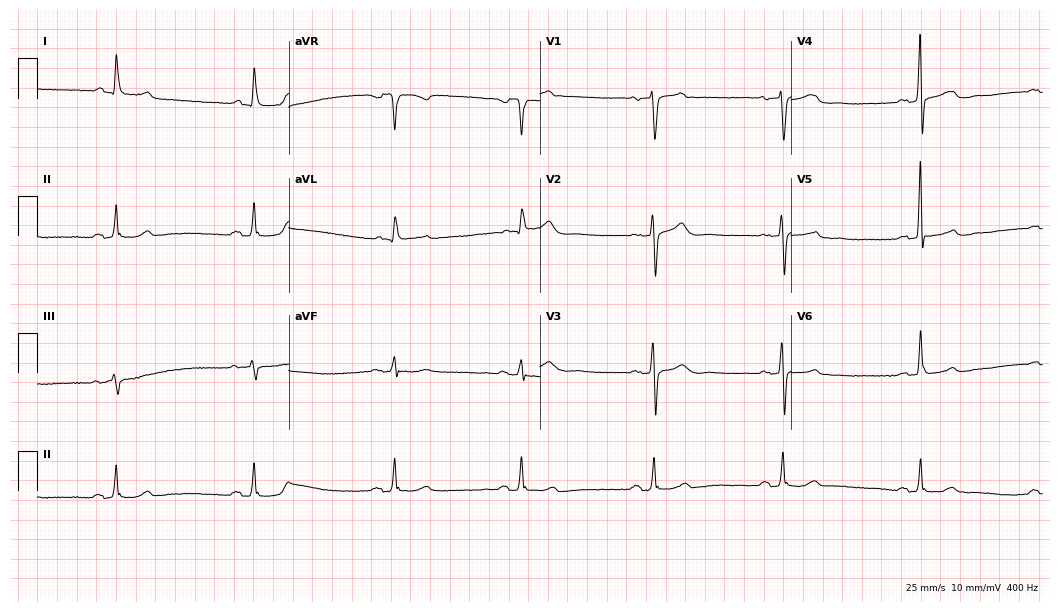
Electrocardiogram, a woman, 62 years old. Of the six screened findings (first-degree AV block, right bundle branch block, left bundle branch block, sinus bradycardia, atrial fibrillation, sinus tachycardia), none is recorded.